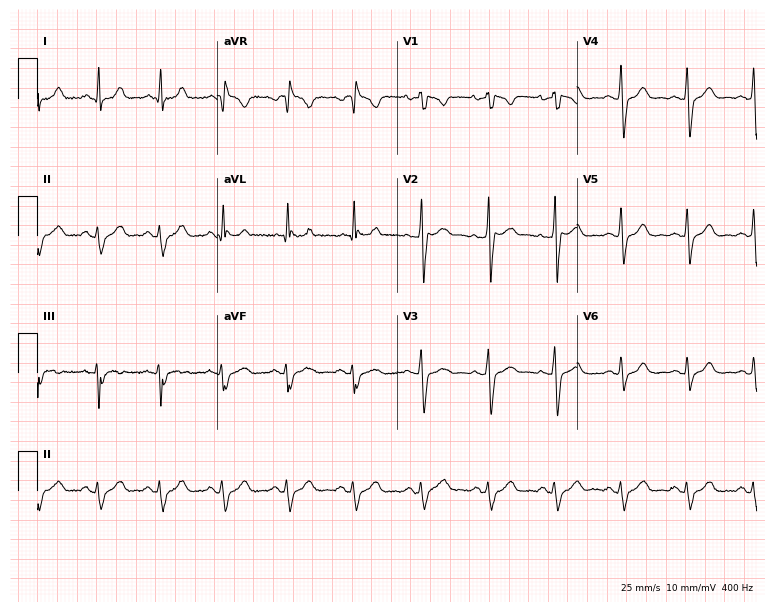
Resting 12-lead electrocardiogram. Patient: a female, 56 years old. None of these six findings is recorded: first-degree AV block, right bundle branch block, left bundle branch block, sinus bradycardia, atrial fibrillation, sinus tachycardia. Other findings, if any, are not listed.